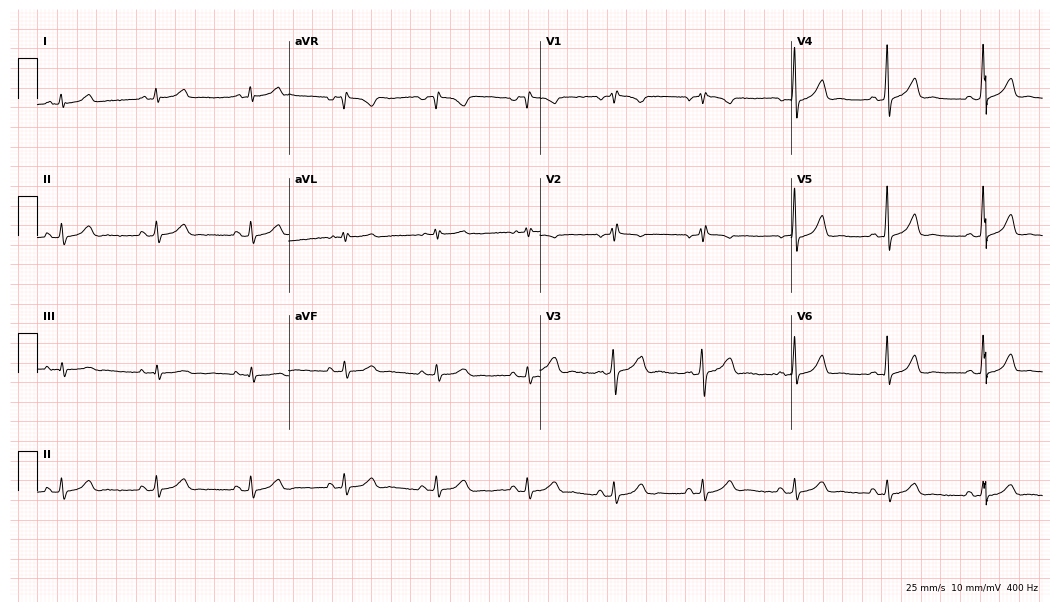
12-lead ECG (10.2-second recording at 400 Hz) from a female, 30 years old. Screened for six findings — first-degree AV block, right bundle branch block (RBBB), left bundle branch block (LBBB), sinus bradycardia, atrial fibrillation (AF), sinus tachycardia — none is recorded. Other findings, if any, are not listed.